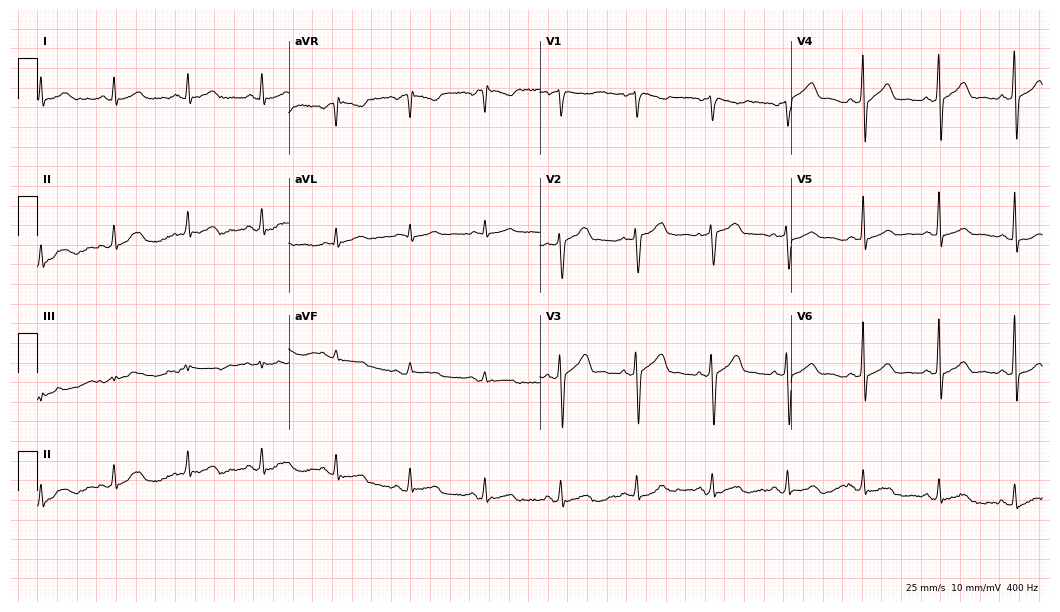
12-lead ECG from a 53-year-old male. Recorded interpretation: within normal limits.